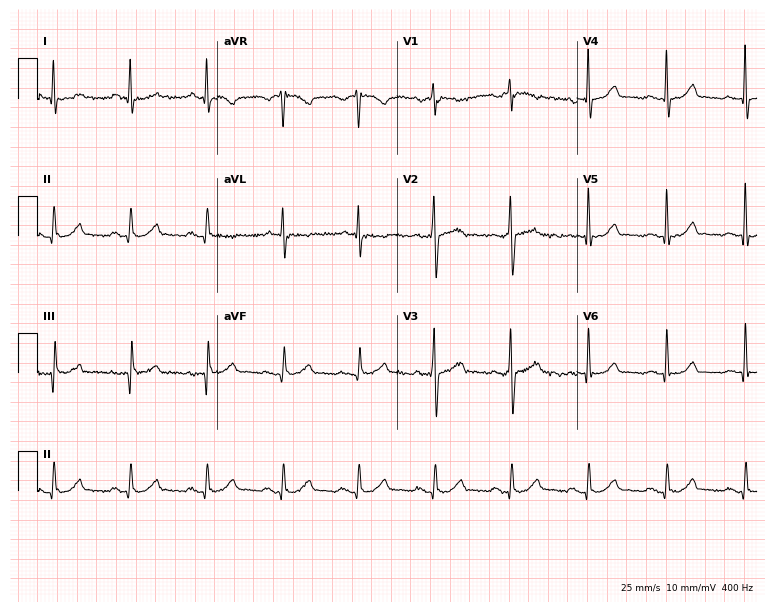
12-lead ECG (7.3-second recording at 400 Hz) from a 56-year-old male patient. Labelled as a normal ECG.